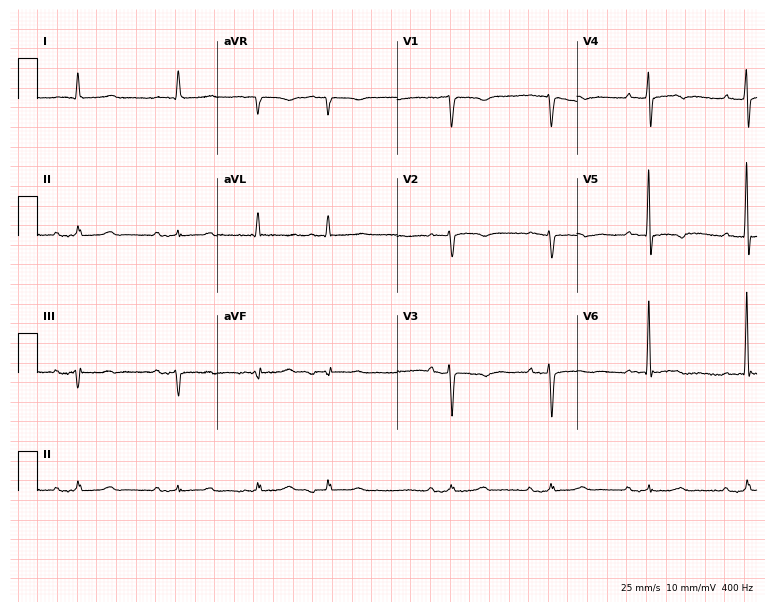
ECG (7.3-second recording at 400 Hz) — an 85-year-old male patient. Findings include first-degree AV block.